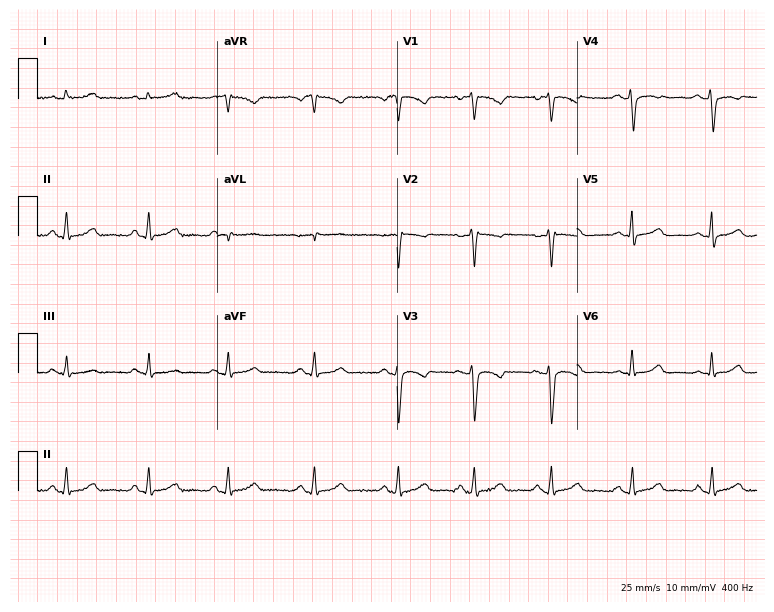
ECG (7.3-second recording at 400 Hz) — a female patient, 30 years old. Screened for six findings — first-degree AV block, right bundle branch block (RBBB), left bundle branch block (LBBB), sinus bradycardia, atrial fibrillation (AF), sinus tachycardia — none is recorded.